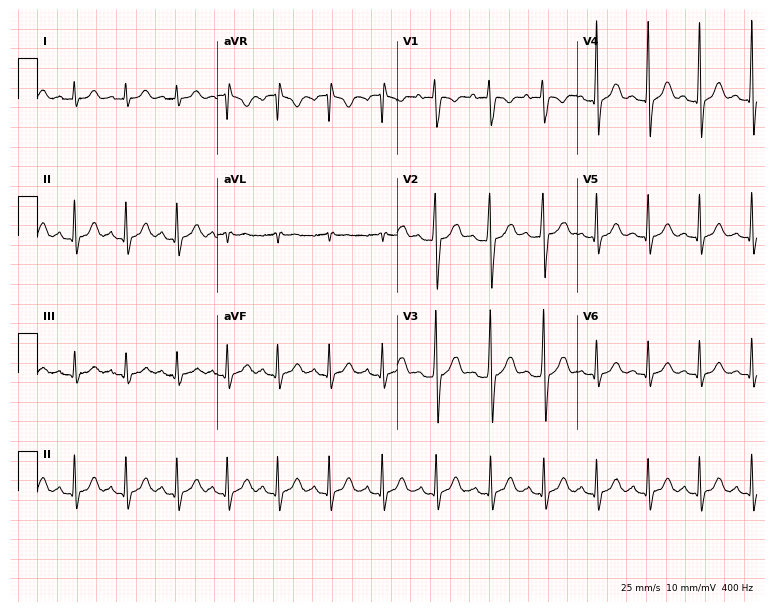
12-lead ECG from a 26-year-old male patient. Shows sinus tachycardia (a sinus rate of 100 beats per minute or more).